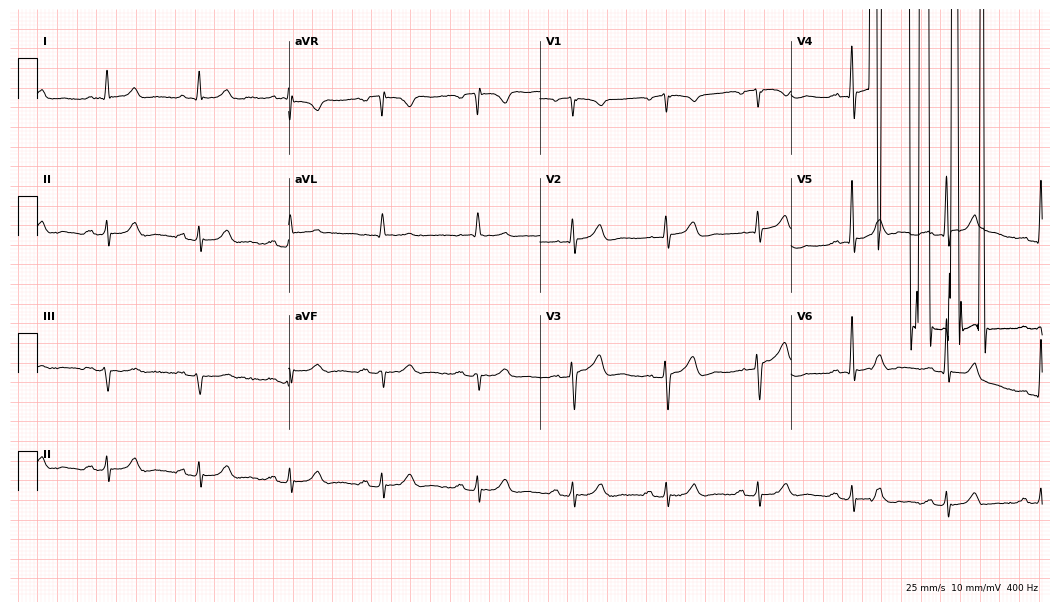
ECG — a male patient, 78 years old. Screened for six findings — first-degree AV block, right bundle branch block, left bundle branch block, sinus bradycardia, atrial fibrillation, sinus tachycardia — none is recorded. Only these six findings were labelled.